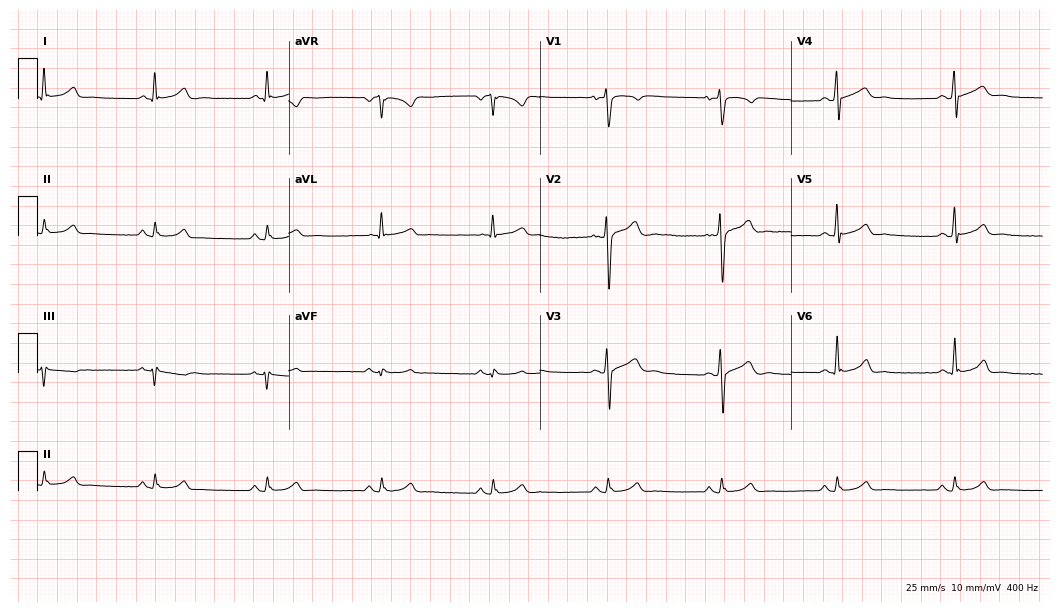
Standard 12-lead ECG recorded from a male, 42 years old. None of these six findings is recorded: first-degree AV block, right bundle branch block, left bundle branch block, sinus bradycardia, atrial fibrillation, sinus tachycardia.